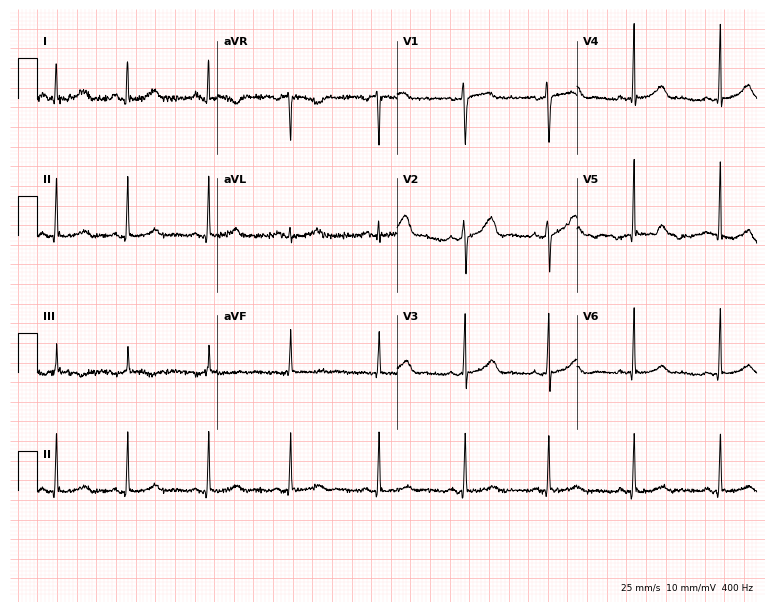
12-lead ECG from a female, 45 years old. No first-degree AV block, right bundle branch block, left bundle branch block, sinus bradycardia, atrial fibrillation or sinus tachycardia recorded for this tracing. Findings outside these six are not listed.